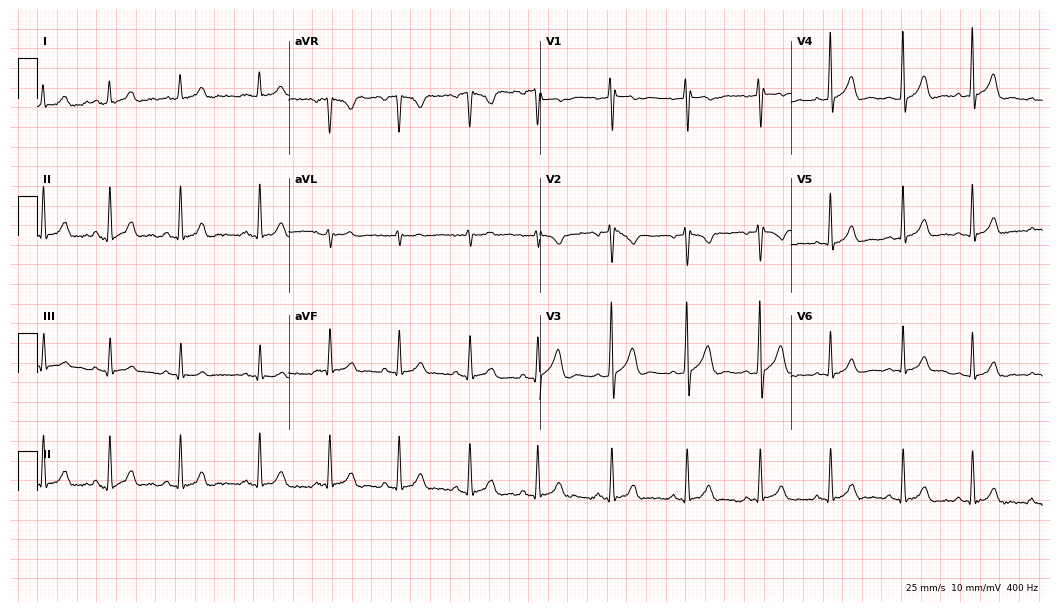
12-lead ECG from a 24-year-old male (10.2-second recording at 400 Hz). Recorded interpretation: within normal limits.